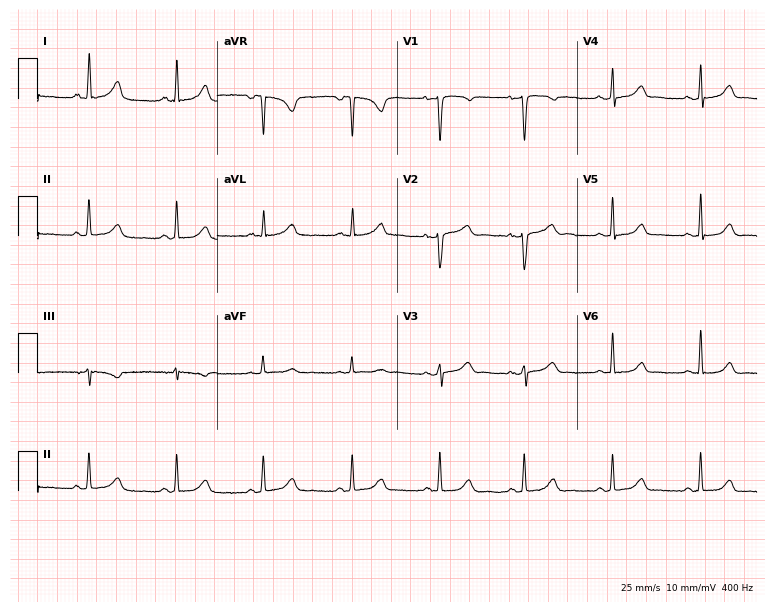
Resting 12-lead electrocardiogram (7.3-second recording at 400 Hz). Patient: a 41-year-old female. Read as a normal ECG.